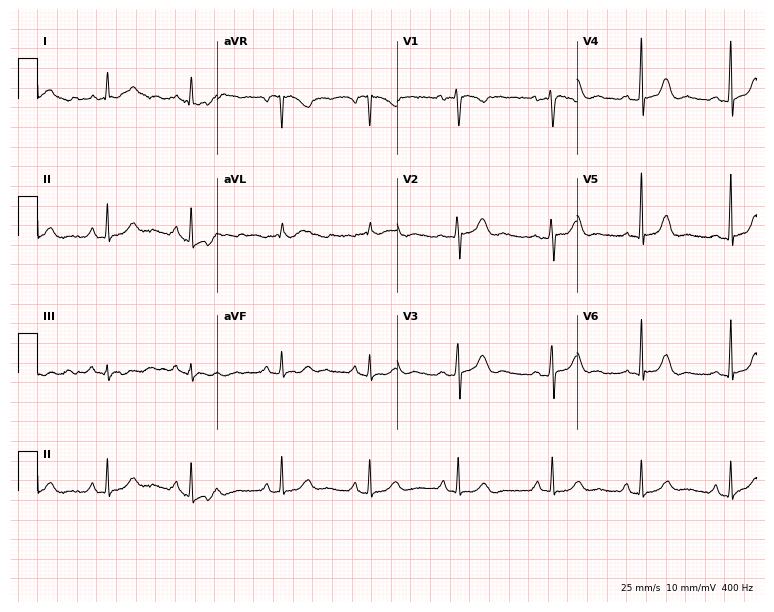
12-lead ECG from a female patient, 57 years old (7.3-second recording at 400 Hz). Recorded interpretation: within normal limits.